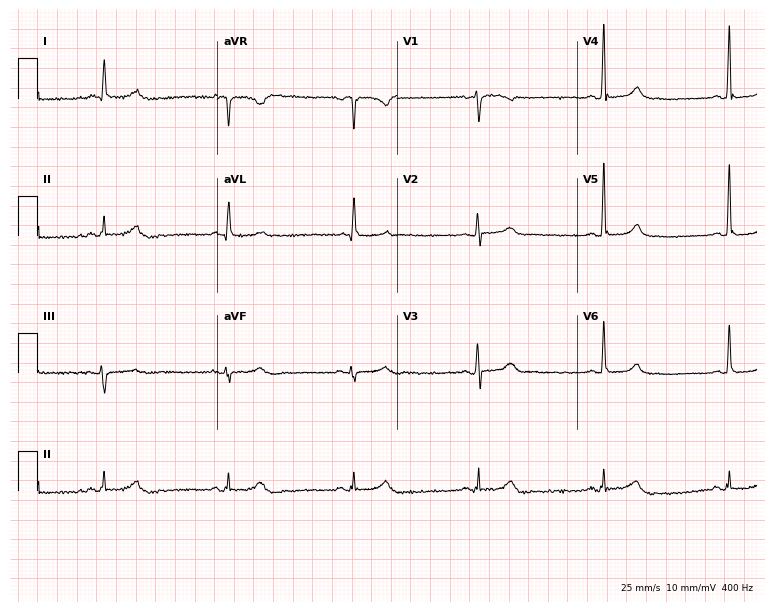
Resting 12-lead electrocardiogram. Patient: a female, 58 years old. The tracing shows sinus bradycardia (a sinus rate of 50 beats per minute or less).